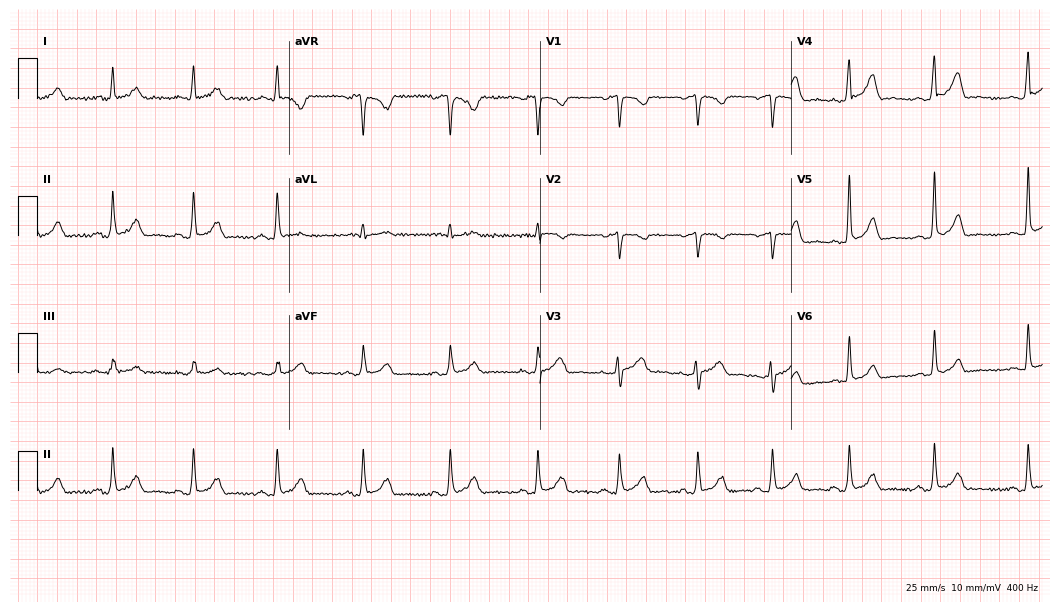
ECG (10.2-second recording at 400 Hz) — a female, 40 years old. Screened for six findings — first-degree AV block, right bundle branch block, left bundle branch block, sinus bradycardia, atrial fibrillation, sinus tachycardia — none is recorded.